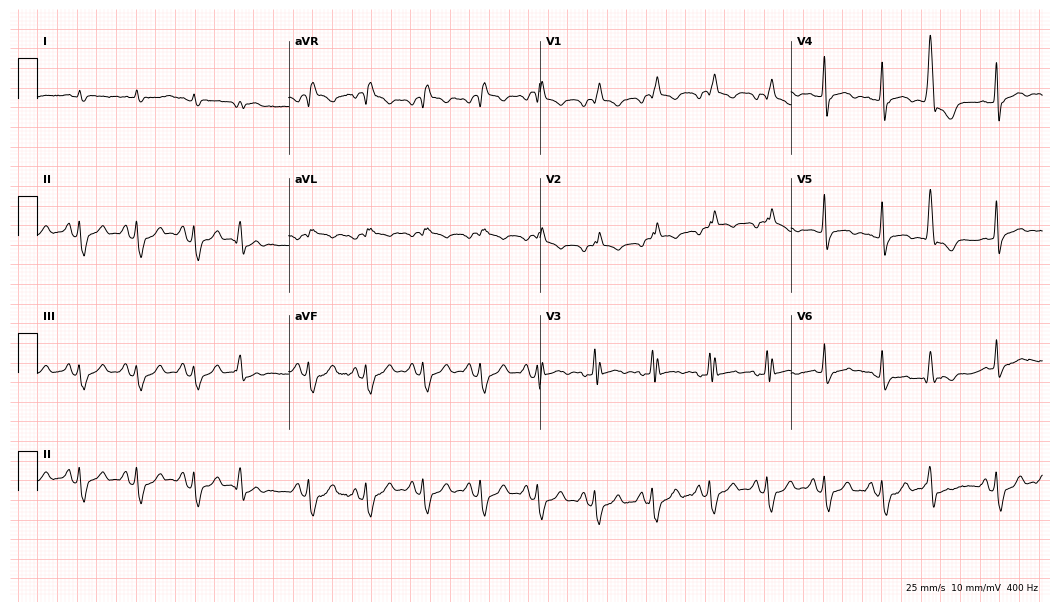
Standard 12-lead ECG recorded from an 80-year-old male. The tracing shows right bundle branch block (RBBB).